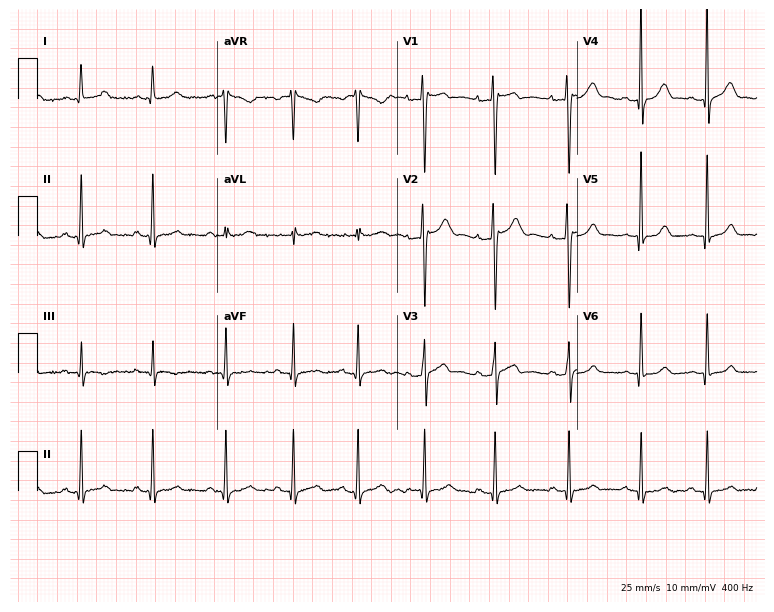
12-lead ECG from a male, 17 years old. Recorded interpretation: within normal limits.